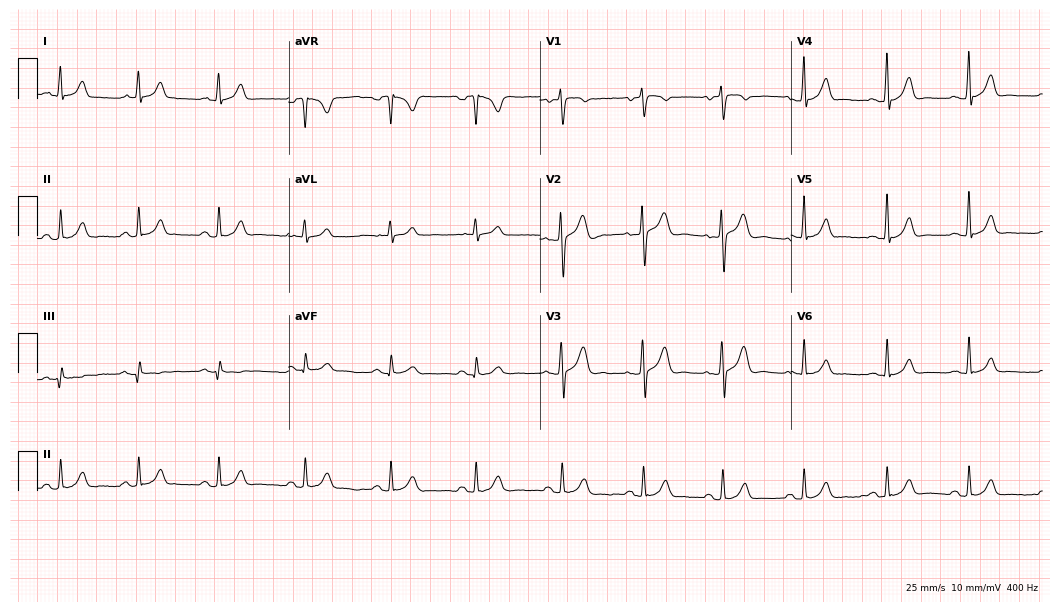
ECG — a male patient, 26 years old. Labelled as a normal ECG.